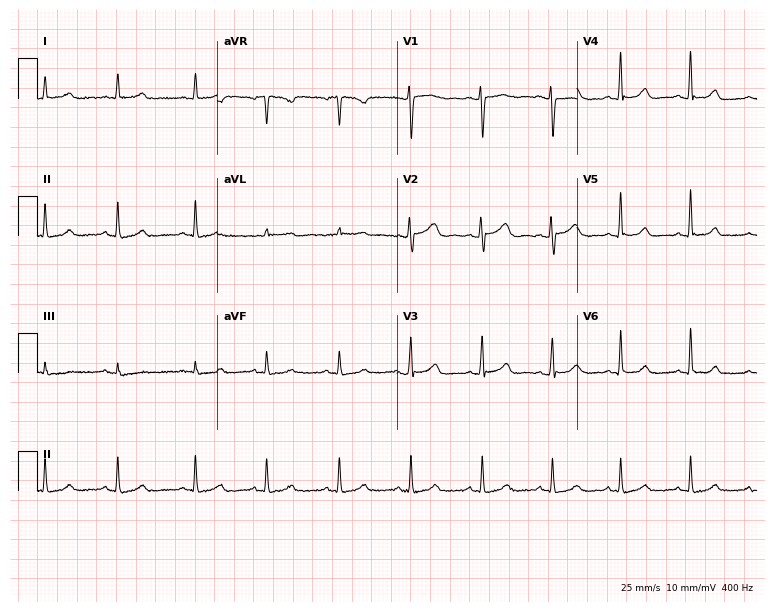
Resting 12-lead electrocardiogram (7.3-second recording at 400 Hz). Patient: a female, 34 years old. None of these six findings is recorded: first-degree AV block, right bundle branch block, left bundle branch block, sinus bradycardia, atrial fibrillation, sinus tachycardia.